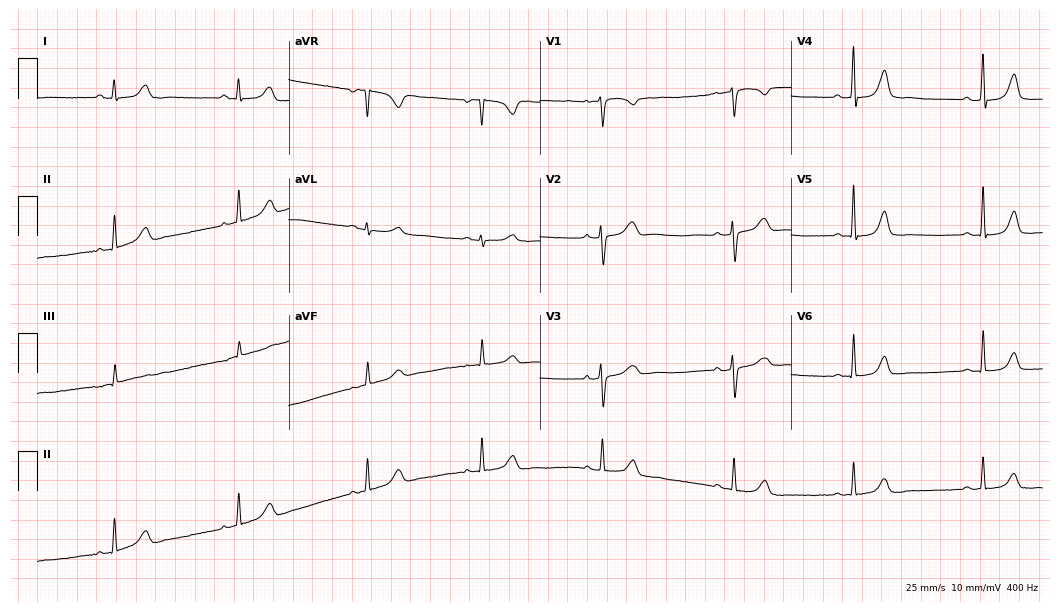
Resting 12-lead electrocardiogram. Patient: a female, 41 years old. The tracing shows sinus bradycardia (a sinus rate of 50 beats per minute or less).